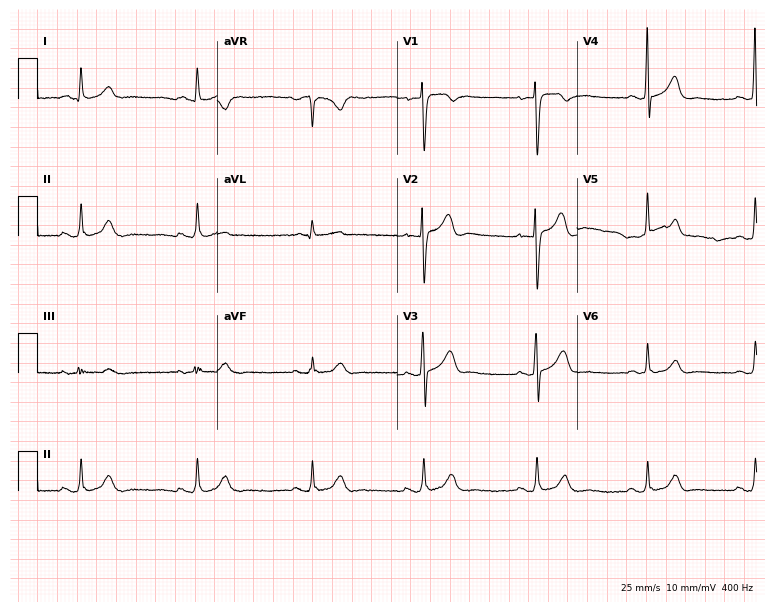
Resting 12-lead electrocardiogram. Patient: a 38-year-old male. Read as a normal ECG.